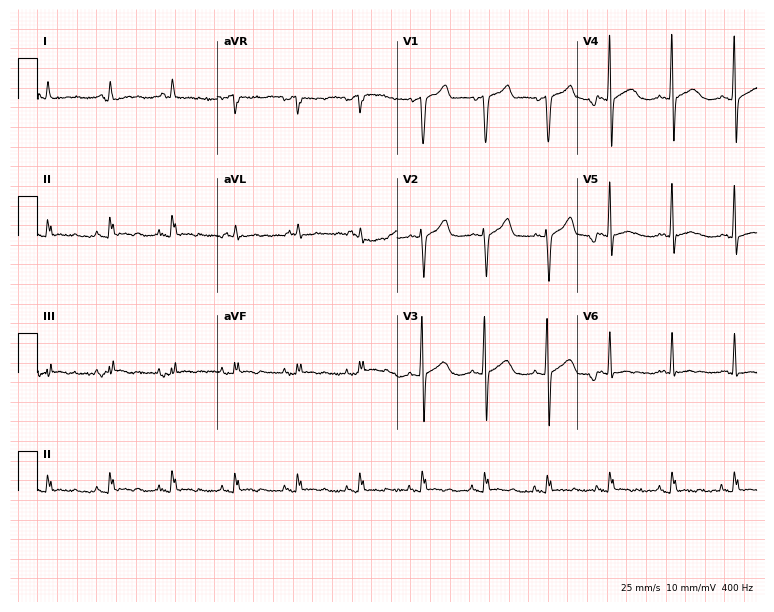
Resting 12-lead electrocardiogram (7.3-second recording at 400 Hz). Patient: a male, 67 years old. None of these six findings is recorded: first-degree AV block, right bundle branch block, left bundle branch block, sinus bradycardia, atrial fibrillation, sinus tachycardia.